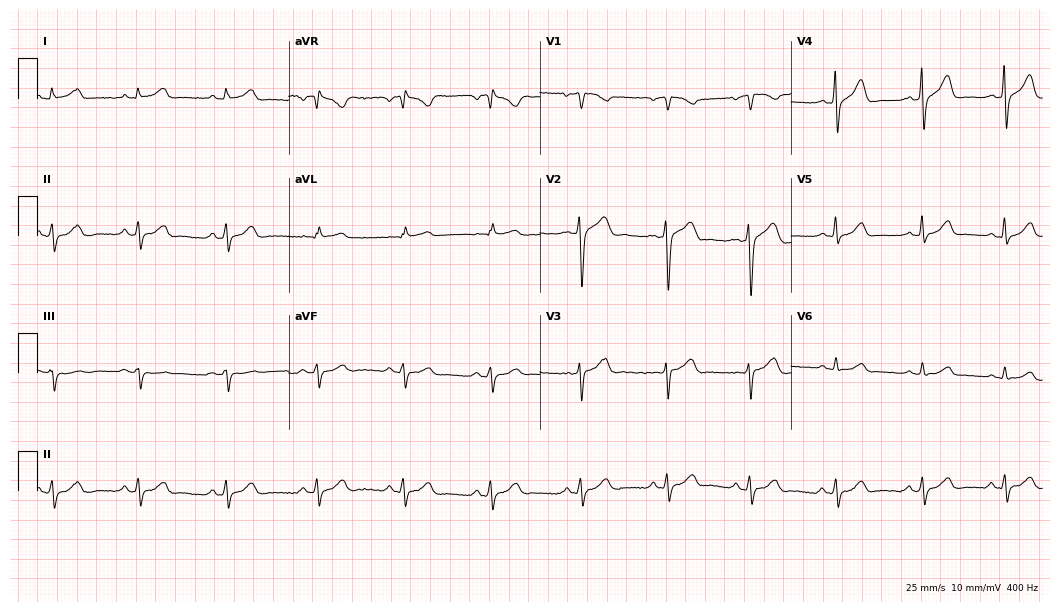
ECG (10.2-second recording at 400 Hz) — a 36-year-old man. Labelled as a normal ECG.